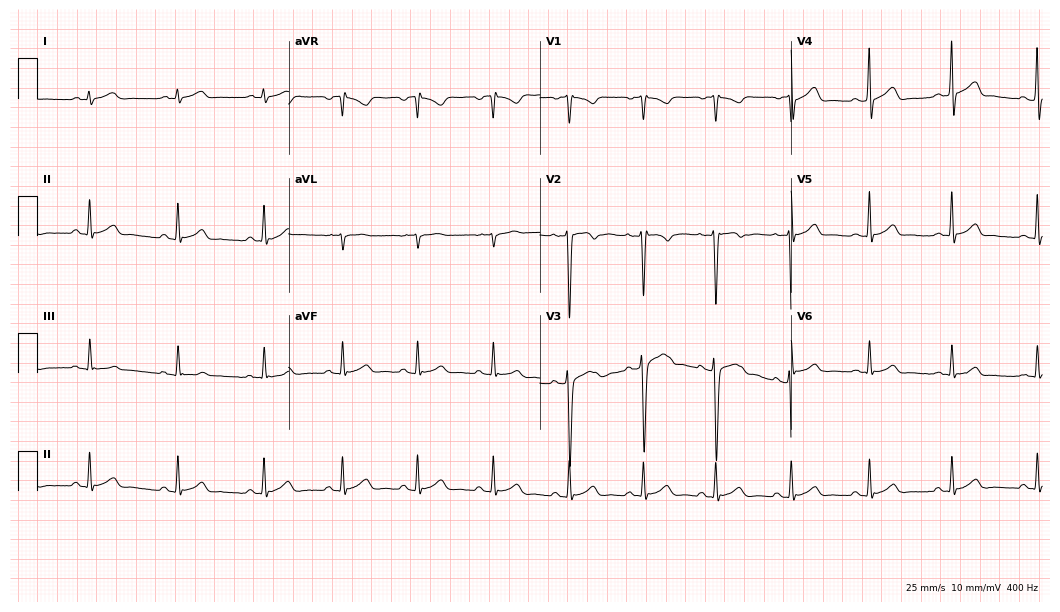
12-lead ECG (10.2-second recording at 400 Hz) from a male patient, 18 years old. Screened for six findings — first-degree AV block, right bundle branch block, left bundle branch block, sinus bradycardia, atrial fibrillation, sinus tachycardia — none is recorded.